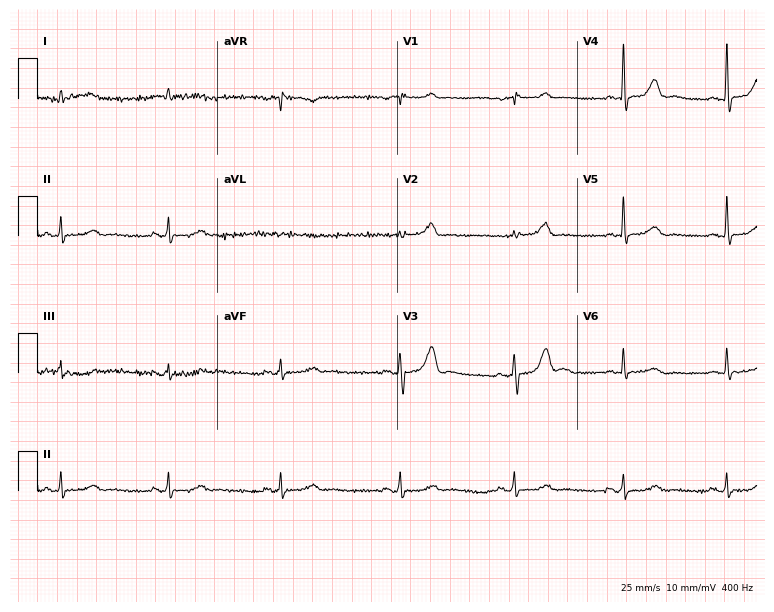
Electrocardiogram (7.3-second recording at 400 Hz), an 85-year-old man. Overall reading on record: normal ECG.